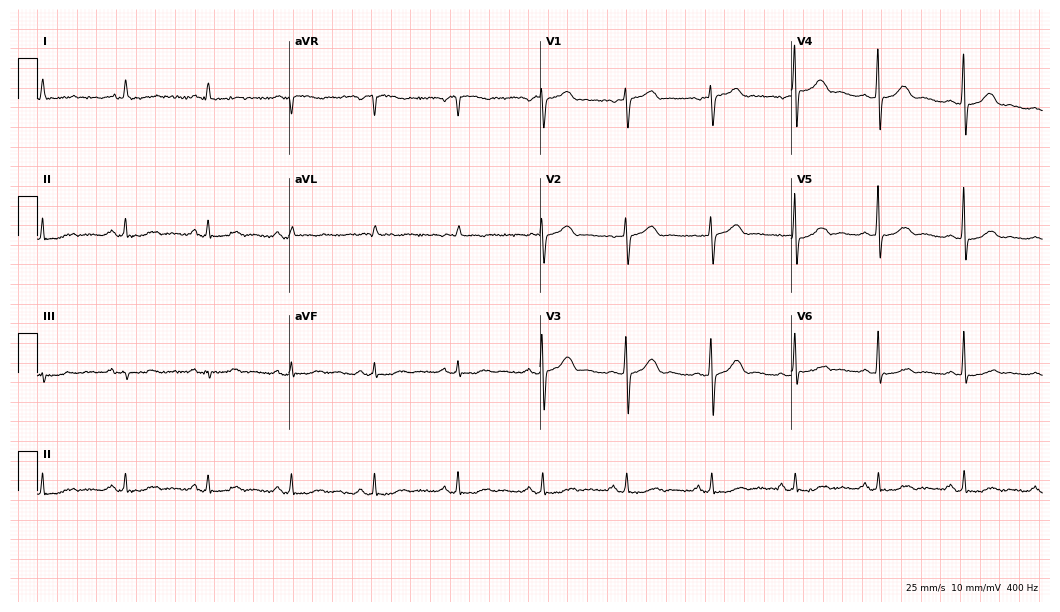
12-lead ECG from a 61-year-old female. Screened for six findings — first-degree AV block, right bundle branch block, left bundle branch block, sinus bradycardia, atrial fibrillation, sinus tachycardia — none is recorded.